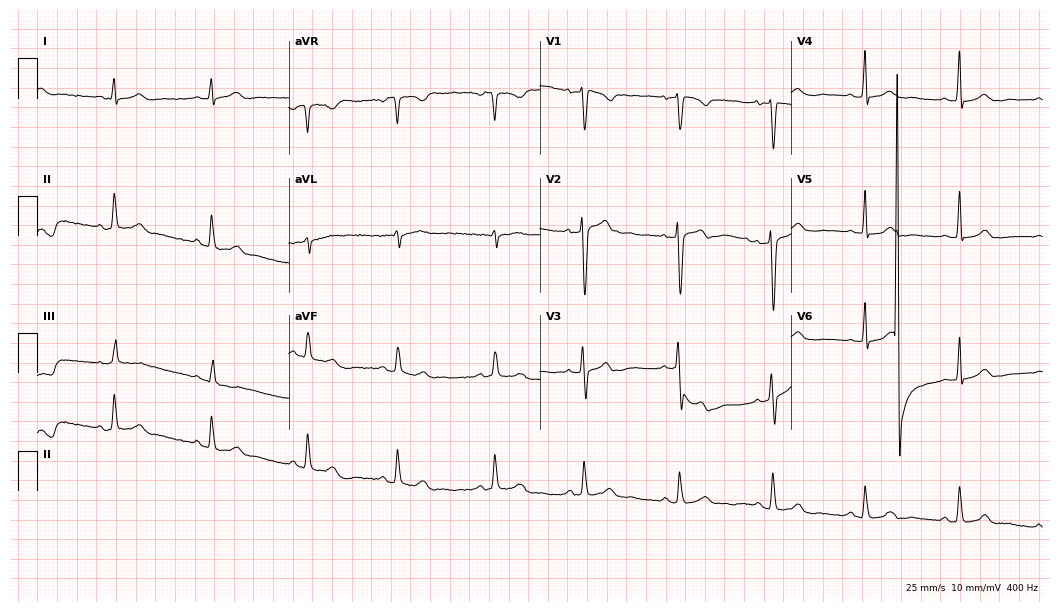
ECG — a female patient, 27 years old. Labelled as a normal ECG.